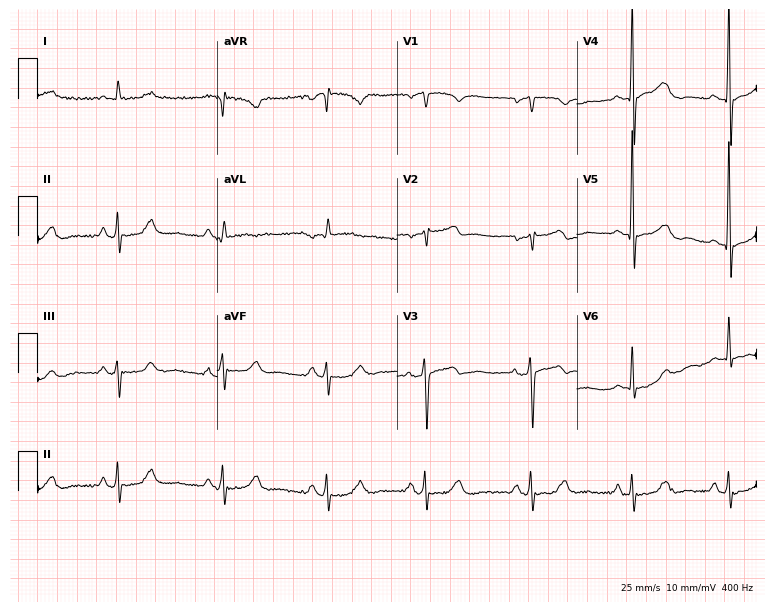
Electrocardiogram (7.3-second recording at 400 Hz), a 74-year-old woman. Of the six screened findings (first-degree AV block, right bundle branch block, left bundle branch block, sinus bradycardia, atrial fibrillation, sinus tachycardia), none is recorded. Other findings, if any, are not listed.